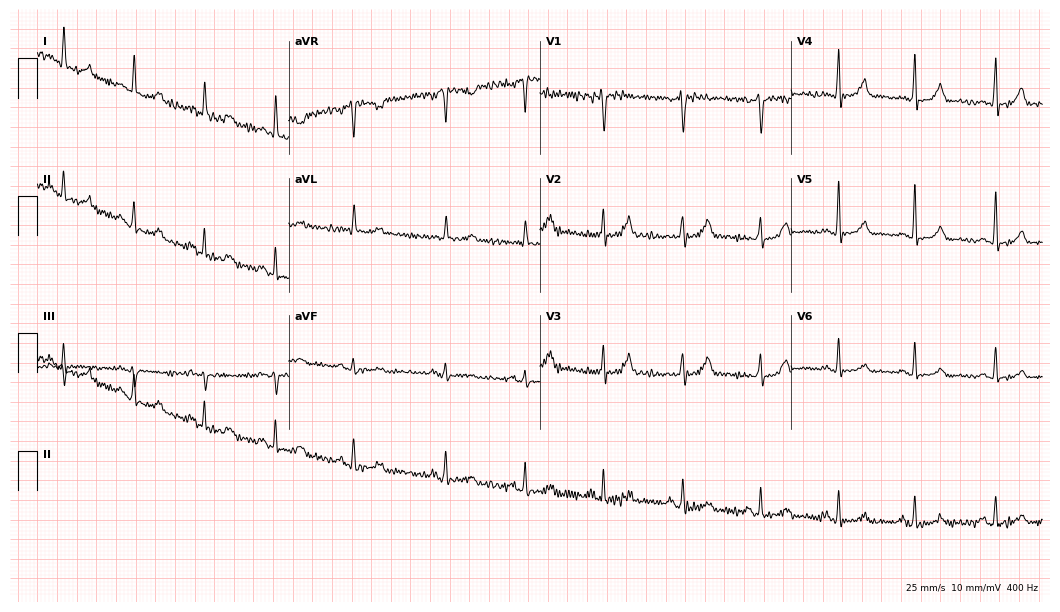
12-lead ECG from a 45-year-old woman. Screened for six findings — first-degree AV block, right bundle branch block, left bundle branch block, sinus bradycardia, atrial fibrillation, sinus tachycardia — none is recorded. Only these six findings were labelled.